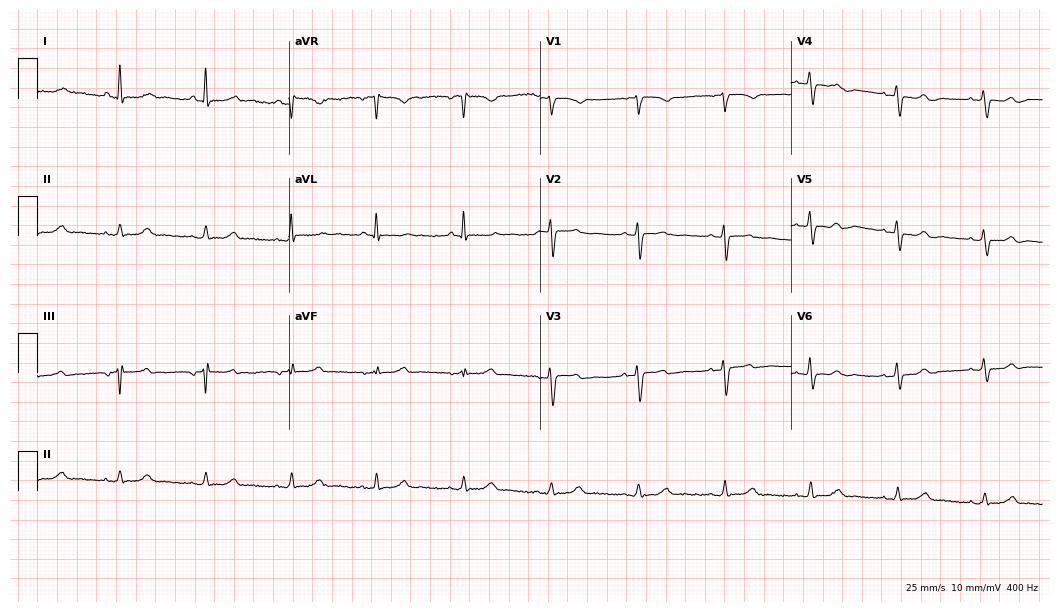
12-lead ECG (10.2-second recording at 400 Hz) from a 66-year-old woman. Screened for six findings — first-degree AV block, right bundle branch block, left bundle branch block, sinus bradycardia, atrial fibrillation, sinus tachycardia — none is recorded.